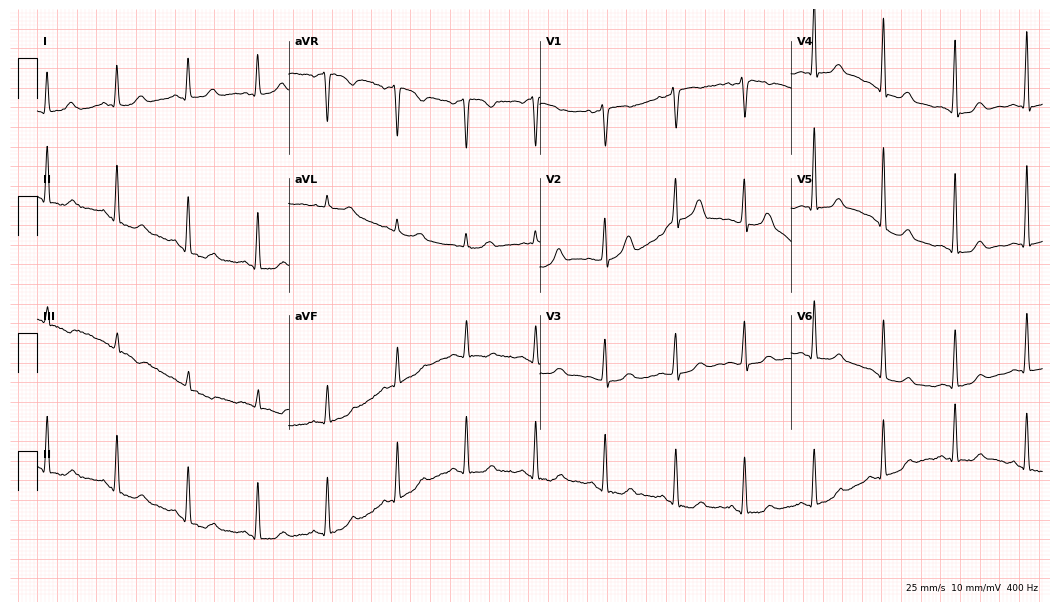
Resting 12-lead electrocardiogram (10.2-second recording at 400 Hz). Patient: a 64-year-old female. None of these six findings is recorded: first-degree AV block, right bundle branch block (RBBB), left bundle branch block (LBBB), sinus bradycardia, atrial fibrillation (AF), sinus tachycardia.